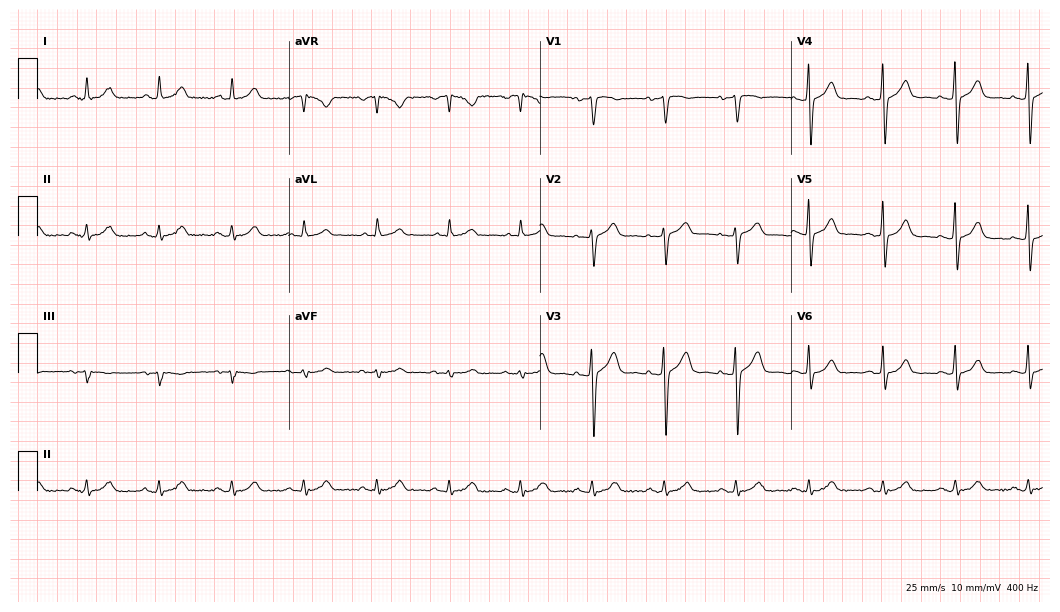
ECG (10.2-second recording at 400 Hz) — a 35-year-old man. Labelled as a normal ECG.